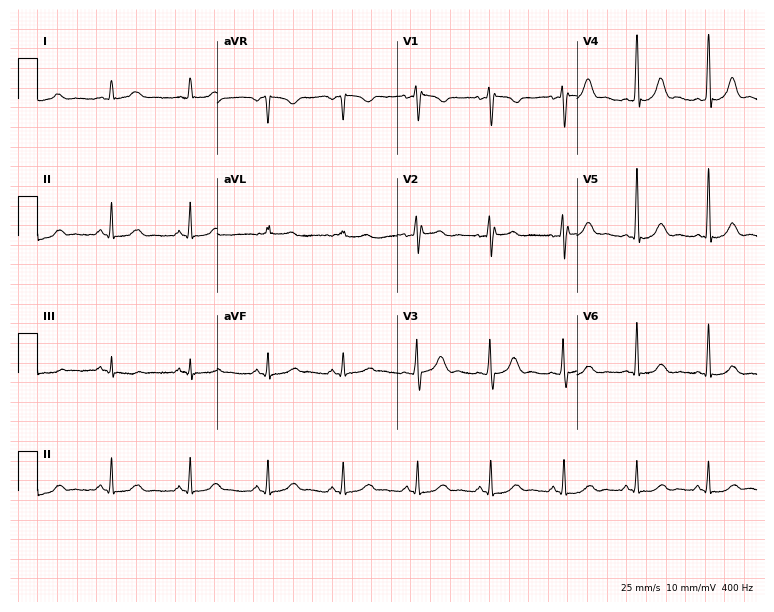
ECG (7.3-second recording at 400 Hz) — a female, 46 years old. Screened for six findings — first-degree AV block, right bundle branch block (RBBB), left bundle branch block (LBBB), sinus bradycardia, atrial fibrillation (AF), sinus tachycardia — none is recorded.